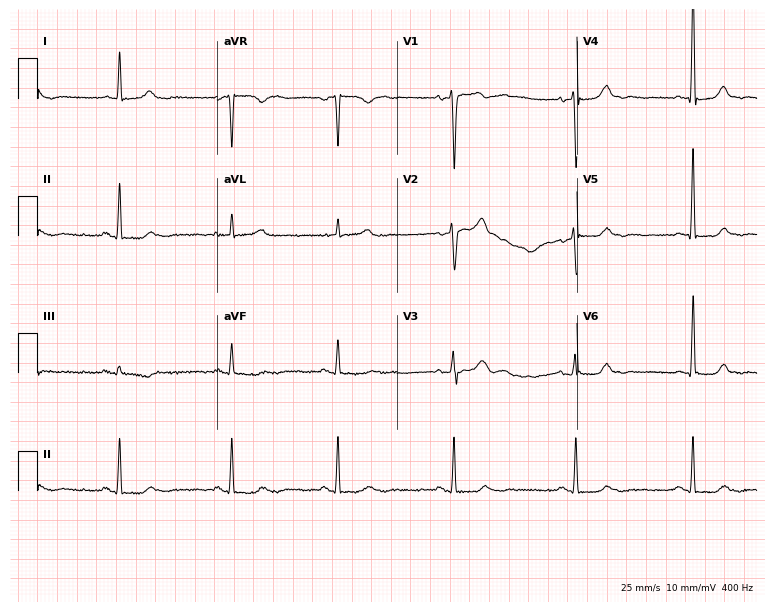
ECG — a woman, 39 years old. Screened for six findings — first-degree AV block, right bundle branch block, left bundle branch block, sinus bradycardia, atrial fibrillation, sinus tachycardia — none is recorded. Findings outside these six are not listed.